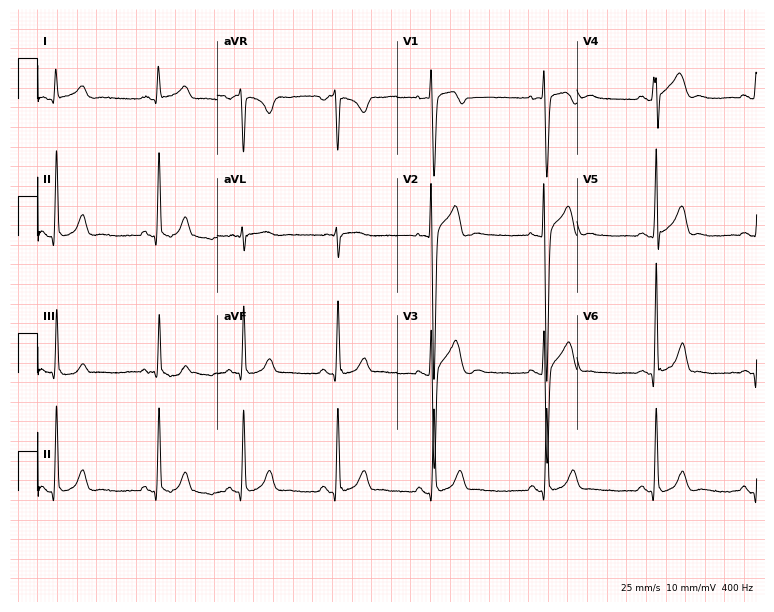
Standard 12-lead ECG recorded from a male, 32 years old (7.3-second recording at 400 Hz). Read as a normal ECG.